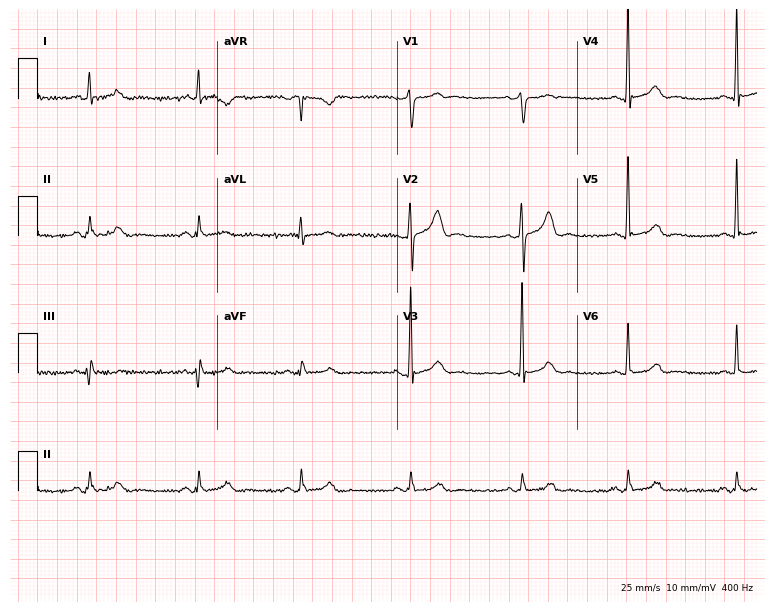
12-lead ECG (7.3-second recording at 400 Hz) from a man, 46 years old. Screened for six findings — first-degree AV block, right bundle branch block, left bundle branch block, sinus bradycardia, atrial fibrillation, sinus tachycardia — none is recorded. Only these six findings were labelled.